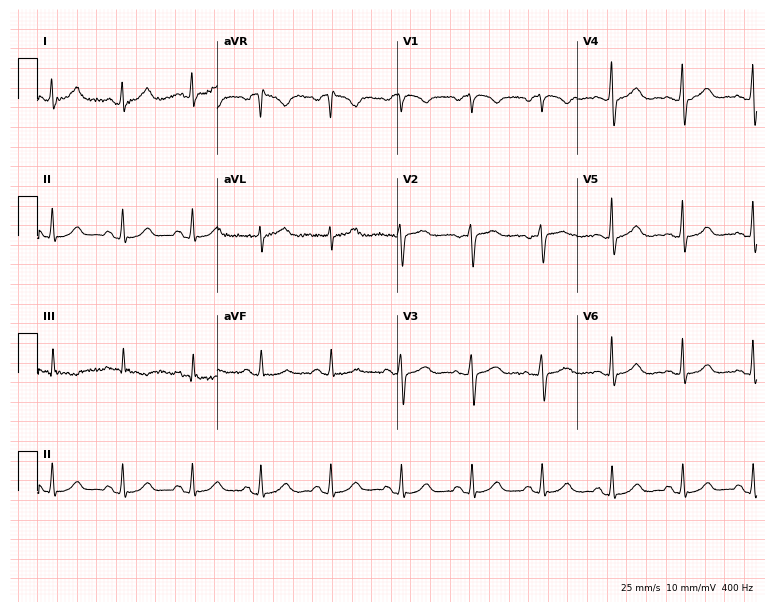
Resting 12-lead electrocardiogram. Patient: a woman, 57 years old. Read as a normal ECG.